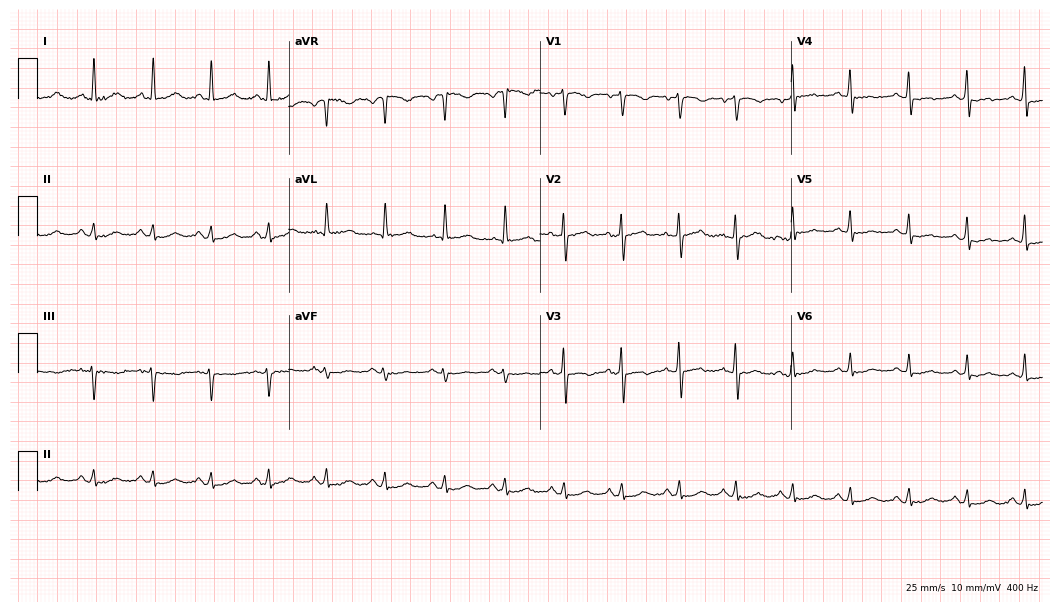
12-lead ECG from a 55-year-old male (10.2-second recording at 400 Hz). Shows sinus tachycardia (a sinus rate of 100 beats per minute or more).